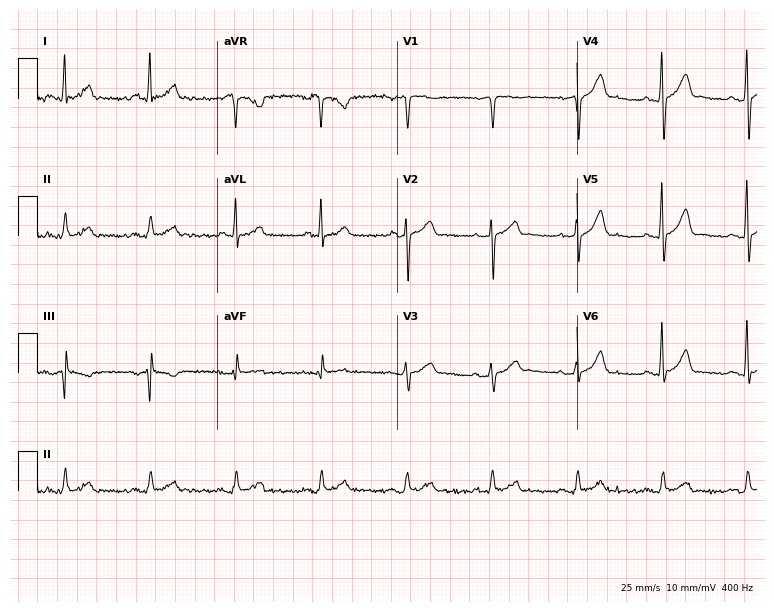
Resting 12-lead electrocardiogram (7.3-second recording at 400 Hz). Patient: a 55-year-old male. None of these six findings is recorded: first-degree AV block, right bundle branch block, left bundle branch block, sinus bradycardia, atrial fibrillation, sinus tachycardia. Findings outside these six are not listed.